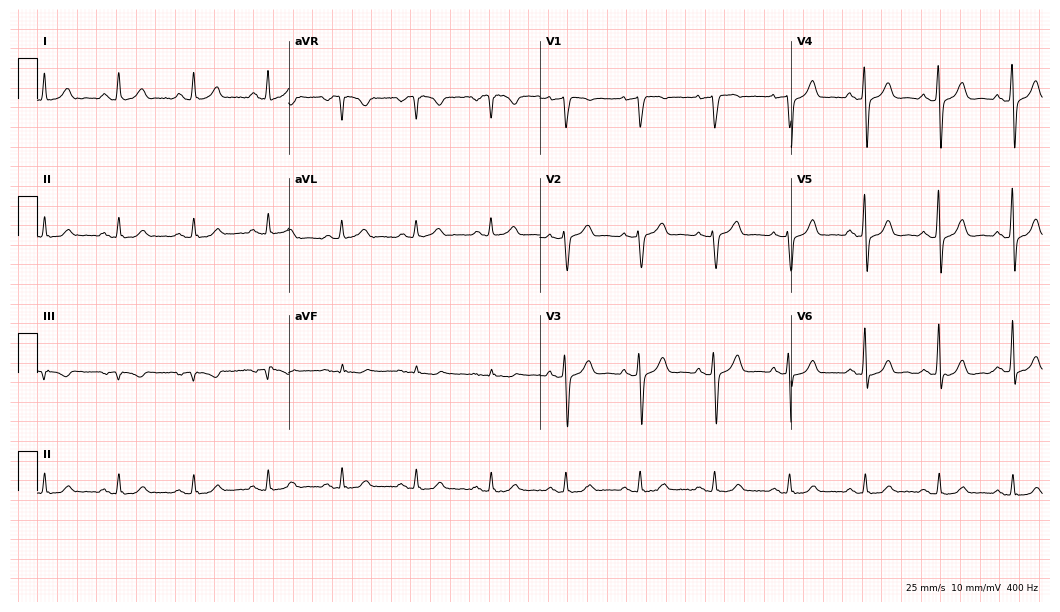
Standard 12-lead ECG recorded from a 61-year-old female patient. Read as a normal ECG.